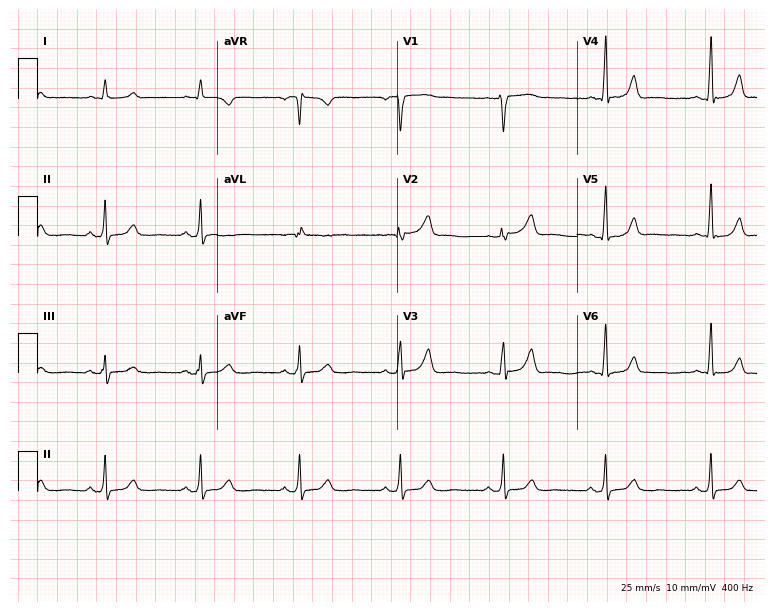
Resting 12-lead electrocardiogram. Patient: a 43-year-old female. None of these six findings is recorded: first-degree AV block, right bundle branch block (RBBB), left bundle branch block (LBBB), sinus bradycardia, atrial fibrillation (AF), sinus tachycardia. Findings outside these six are not listed.